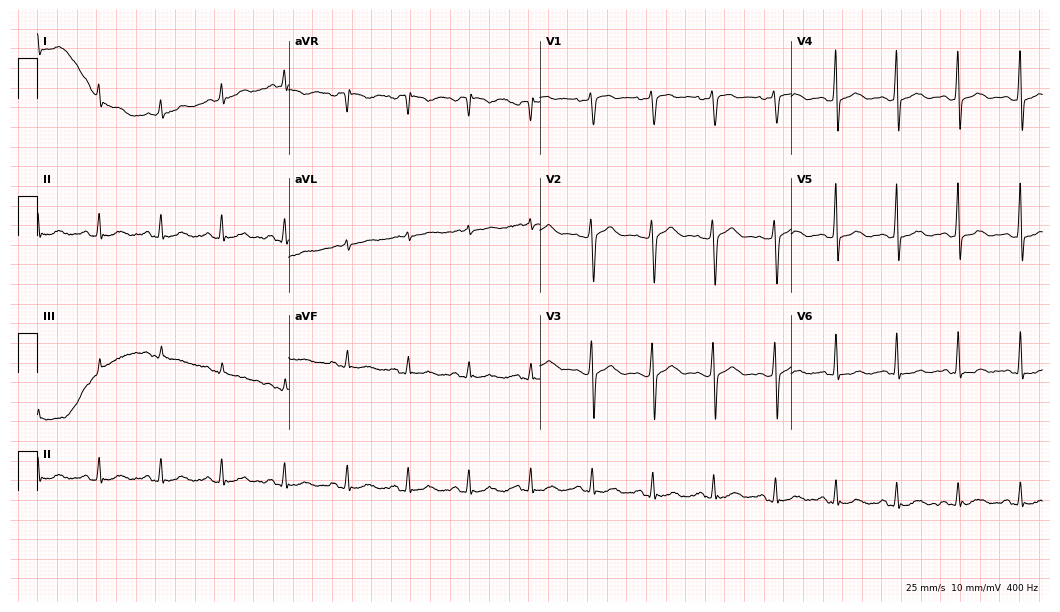
12-lead ECG from a male patient, 35 years old. Recorded interpretation: within normal limits.